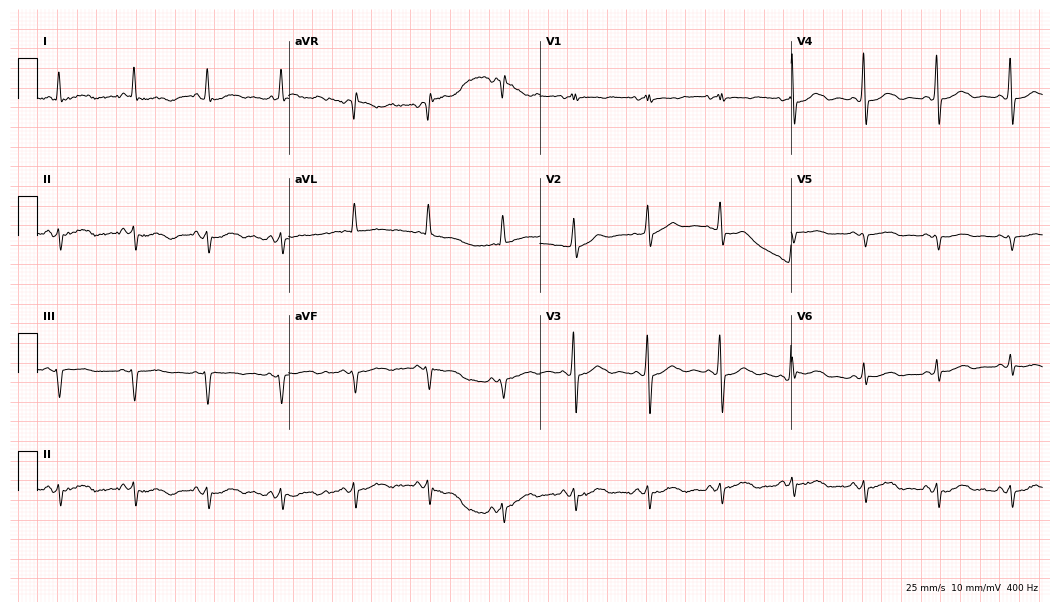
Electrocardiogram, a female, 69 years old. Of the six screened findings (first-degree AV block, right bundle branch block, left bundle branch block, sinus bradycardia, atrial fibrillation, sinus tachycardia), none is recorded.